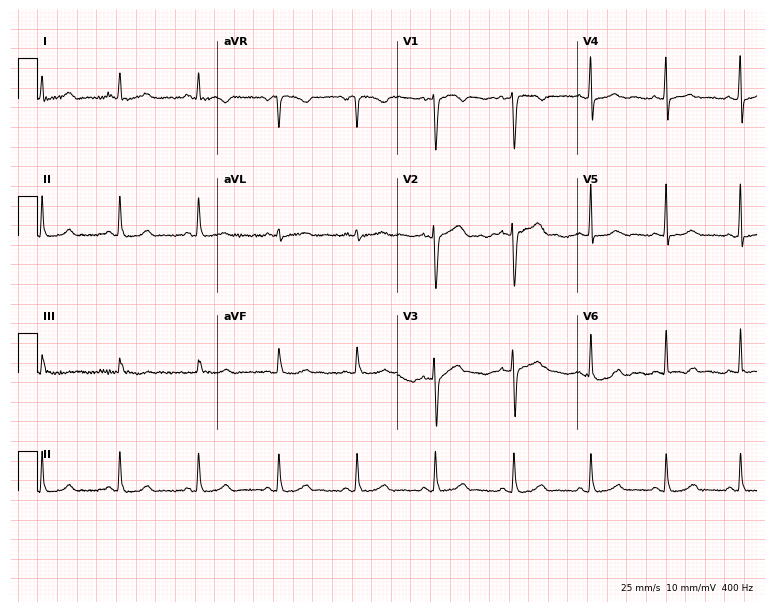
Resting 12-lead electrocardiogram (7.3-second recording at 400 Hz). Patient: a woman, 29 years old. Read as a normal ECG.